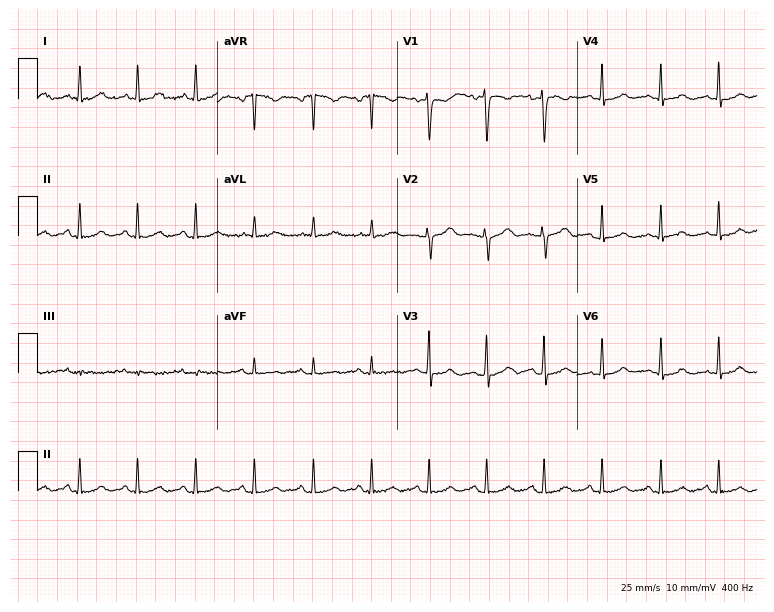
Electrocardiogram (7.3-second recording at 400 Hz), a woman, 64 years old. Of the six screened findings (first-degree AV block, right bundle branch block, left bundle branch block, sinus bradycardia, atrial fibrillation, sinus tachycardia), none is recorded.